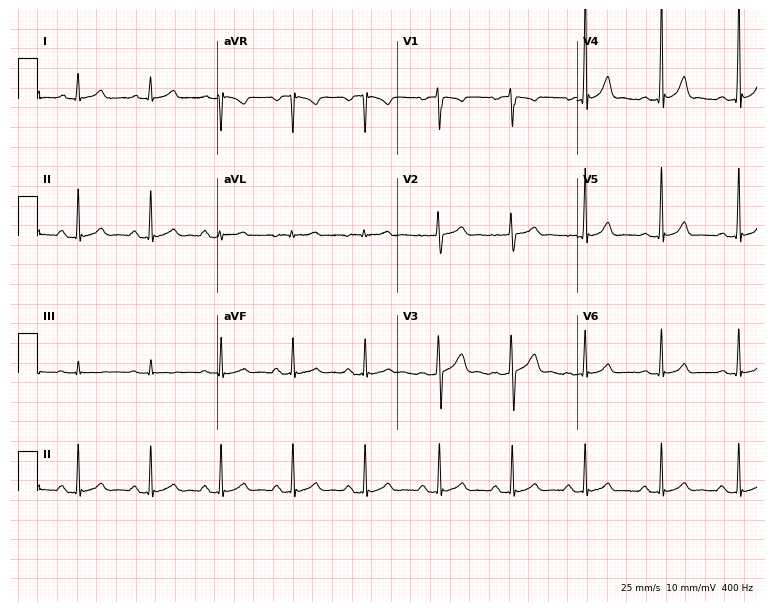
12-lead ECG from a 26-year-old woman. Labelled as a normal ECG.